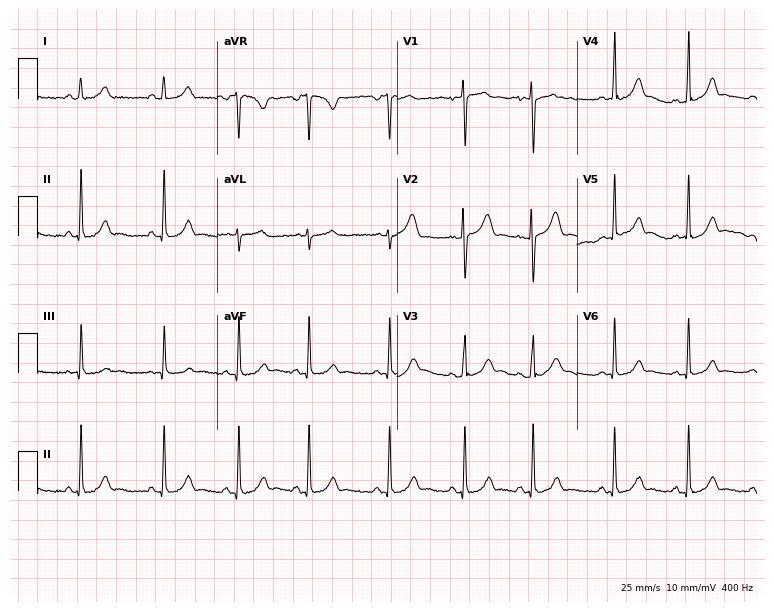
Standard 12-lead ECG recorded from a 19-year-old woman (7.3-second recording at 400 Hz). Read as a normal ECG.